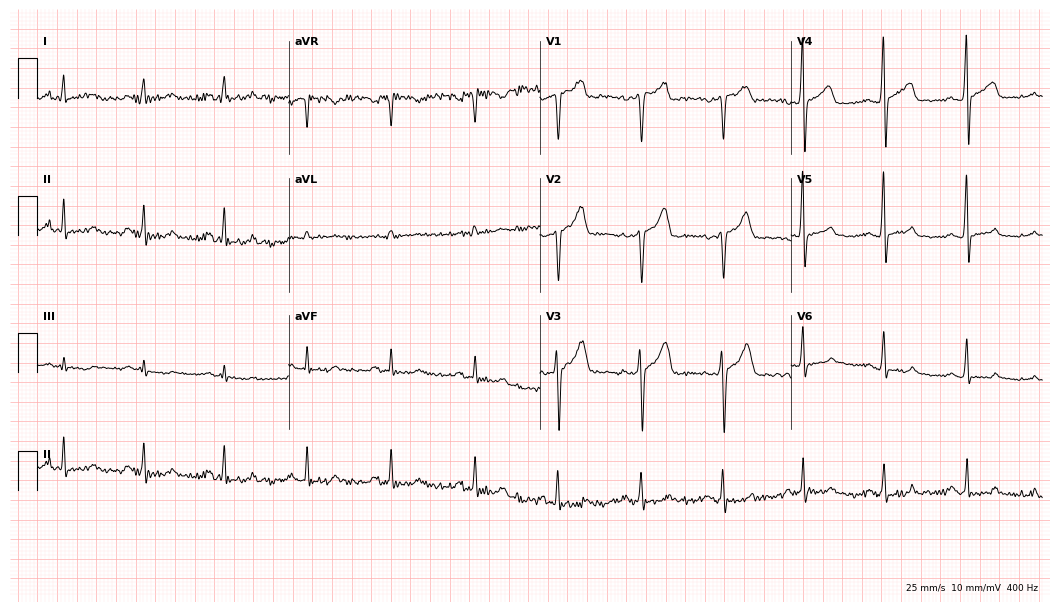
Electrocardiogram (10.2-second recording at 400 Hz), a 41-year-old male. Of the six screened findings (first-degree AV block, right bundle branch block, left bundle branch block, sinus bradycardia, atrial fibrillation, sinus tachycardia), none is recorded.